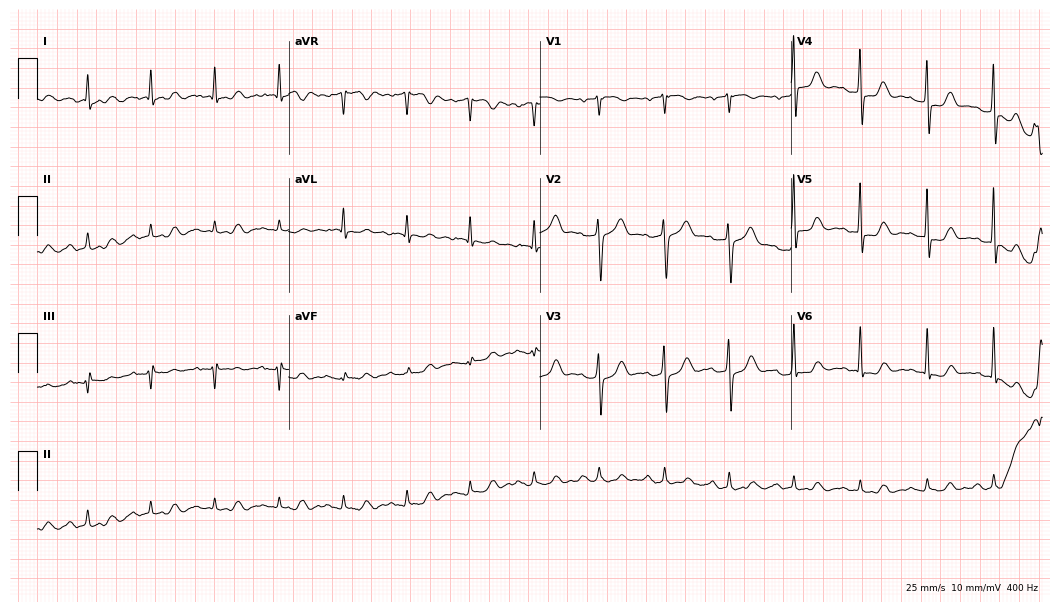
Electrocardiogram, an 85-year-old male. Overall reading on record: normal ECG.